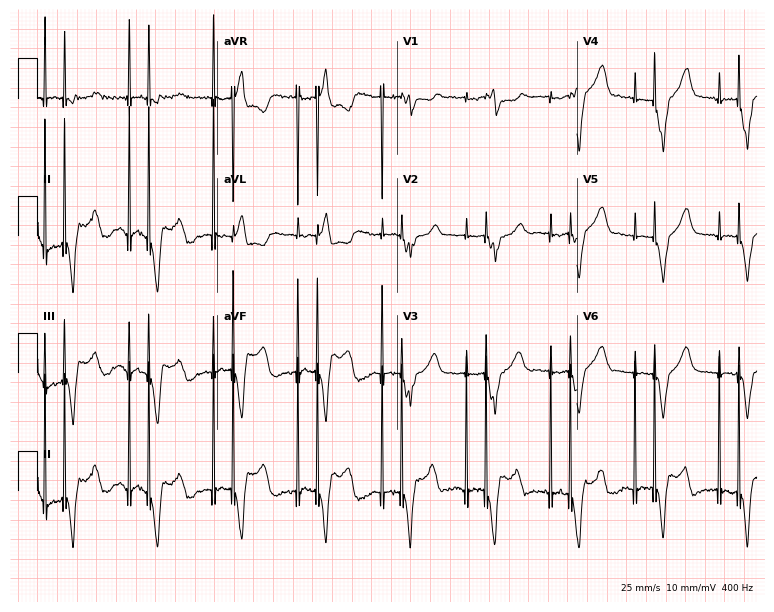
Electrocardiogram (7.3-second recording at 400 Hz), a 77-year-old male. Of the six screened findings (first-degree AV block, right bundle branch block (RBBB), left bundle branch block (LBBB), sinus bradycardia, atrial fibrillation (AF), sinus tachycardia), none is recorded.